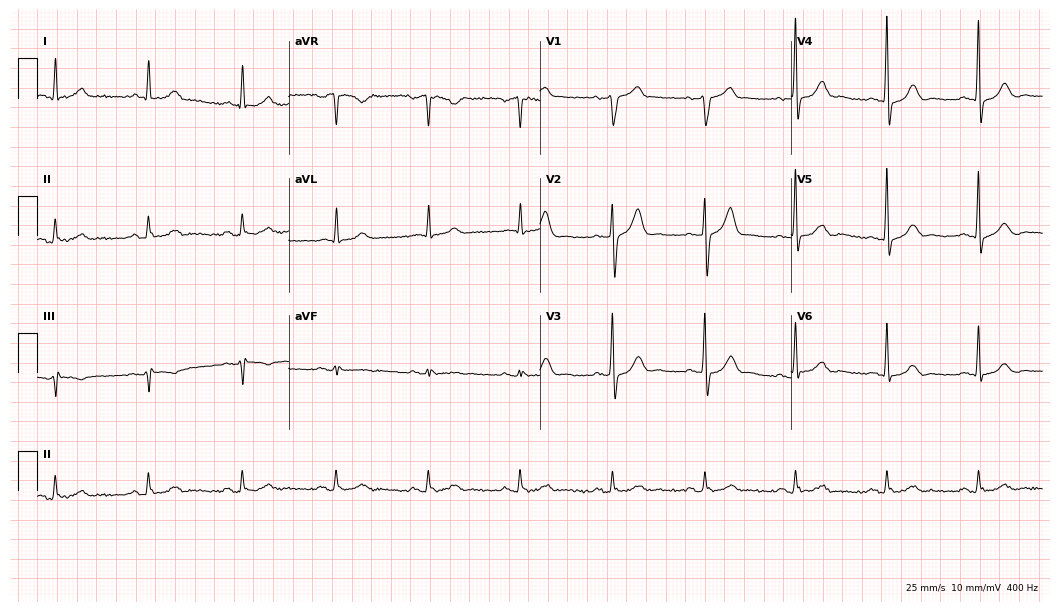
Standard 12-lead ECG recorded from a male, 65 years old (10.2-second recording at 400 Hz). Read as a normal ECG.